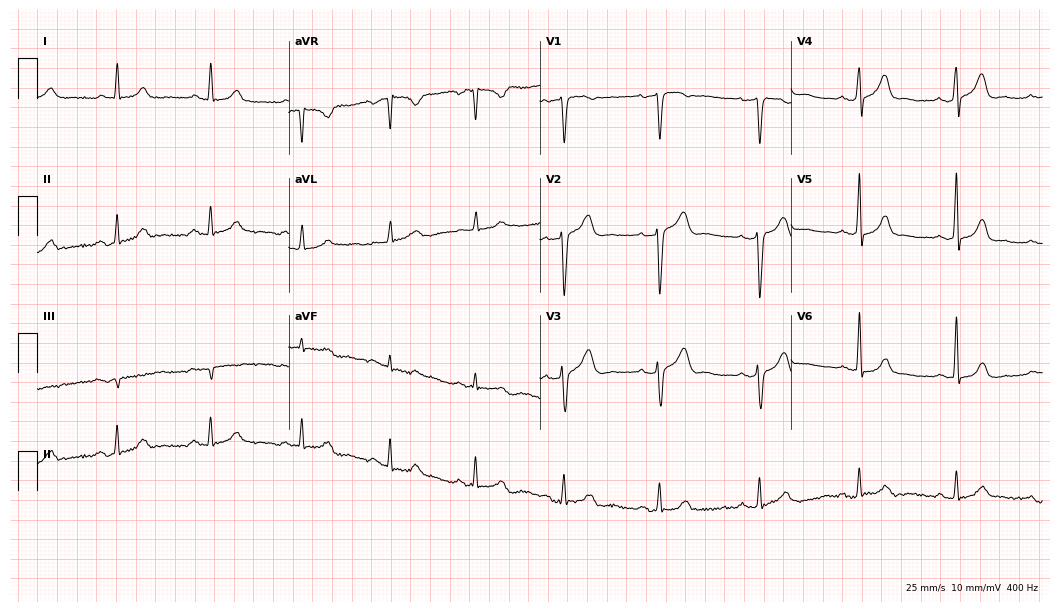
Standard 12-lead ECG recorded from a male patient, 40 years old (10.2-second recording at 400 Hz). Read as a normal ECG.